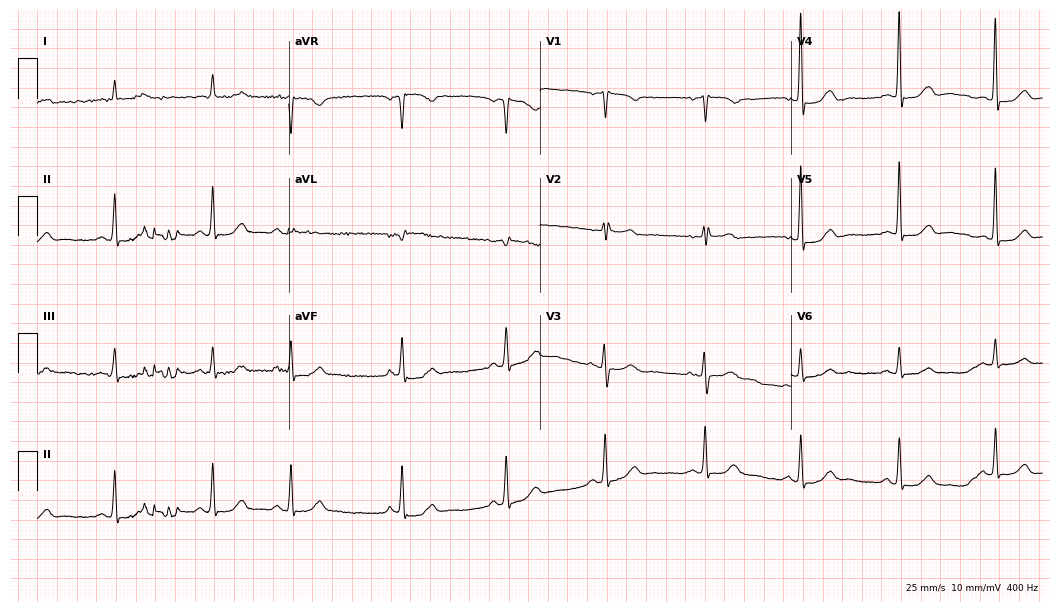
12-lead ECG (10.2-second recording at 400 Hz) from a 68-year-old female. Labelled as a normal ECG.